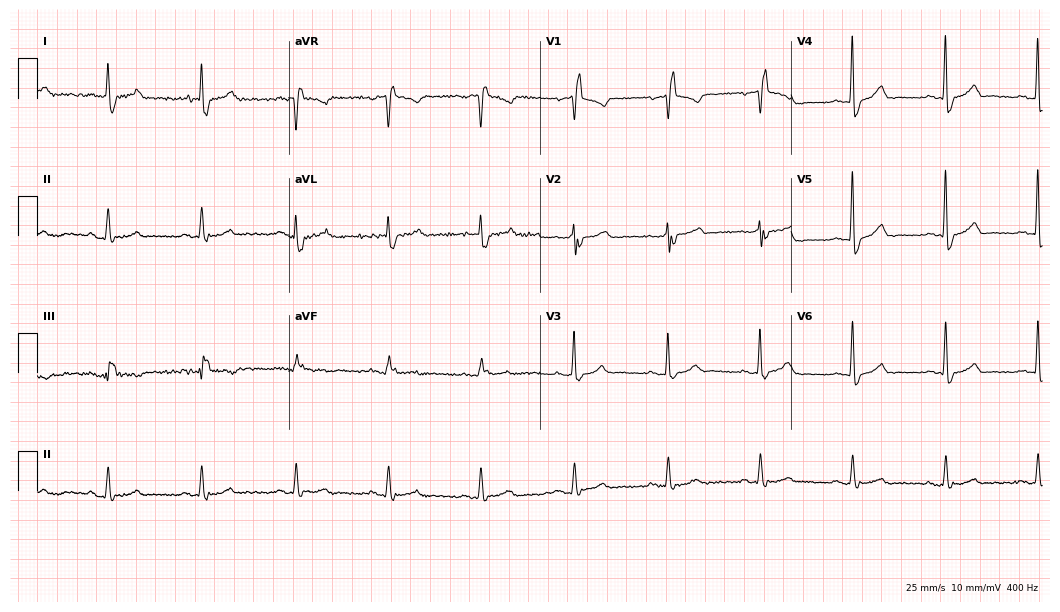
12-lead ECG from a woman, 82 years old (10.2-second recording at 400 Hz). Shows right bundle branch block (RBBB).